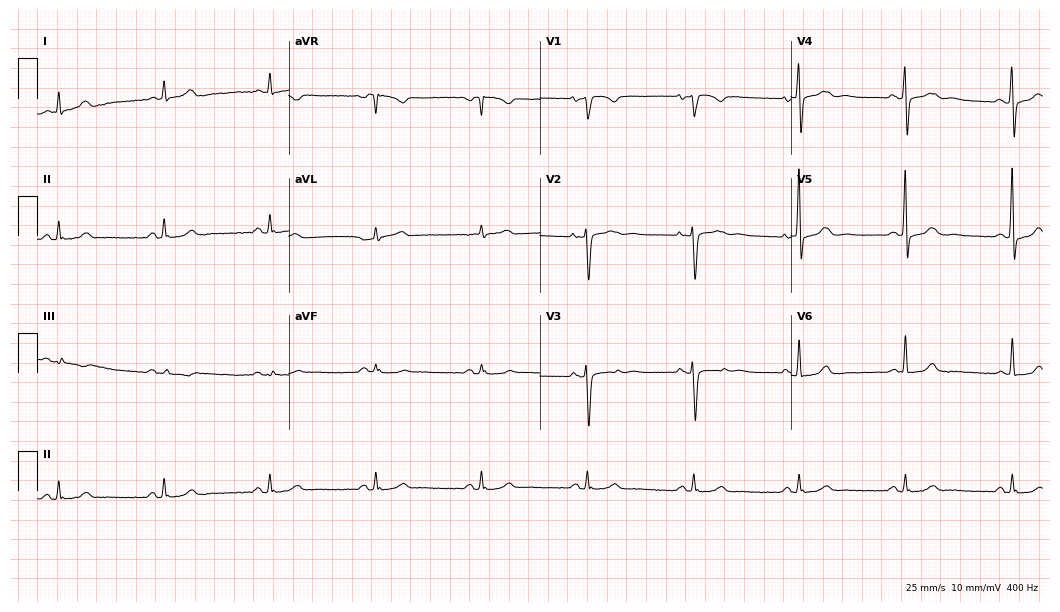
ECG — a 77-year-old male patient. Labelled as a normal ECG.